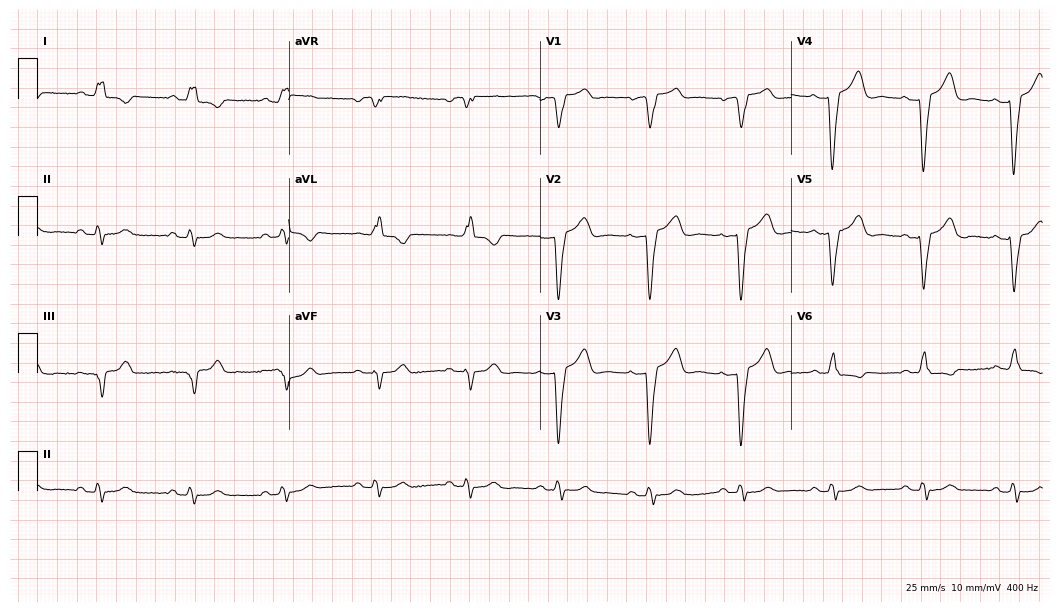
Electrocardiogram, a female patient, 55 years old. Of the six screened findings (first-degree AV block, right bundle branch block (RBBB), left bundle branch block (LBBB), sinus bradycardia, atrial fibrillation (AF), sinus tachycardia), none is recorded.